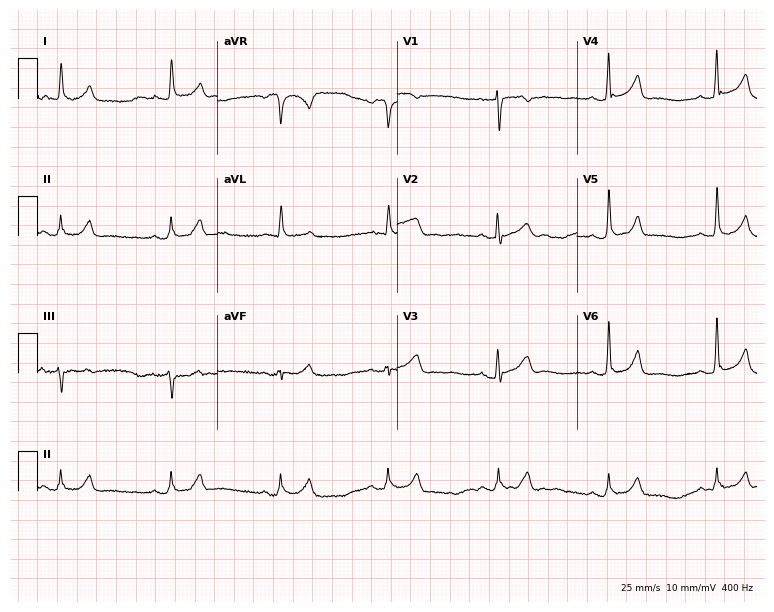
ECG — a woman, 68 years old. Screened for six findings — first-degree AV block, right bundle branch block, left bundle branch block, sinus bradycardia, atrial fibrillation, sinus tachycardia — none is recorded.